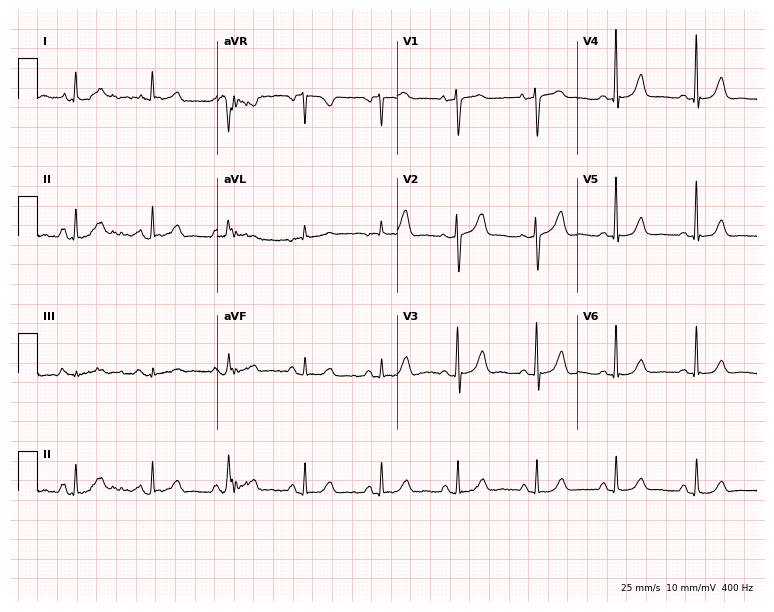
12-lead ECG (7.3-second recording at 400 Hz) from a 73-year-old woman. Labelled as a normal ECG.